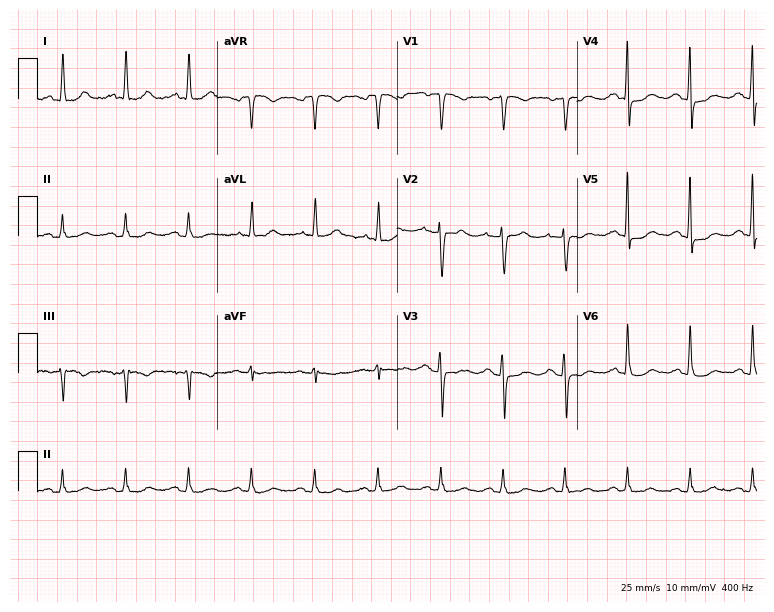
Standard 12-lead ECG recorded from a female, 76 years old. Read as a normal ECG.